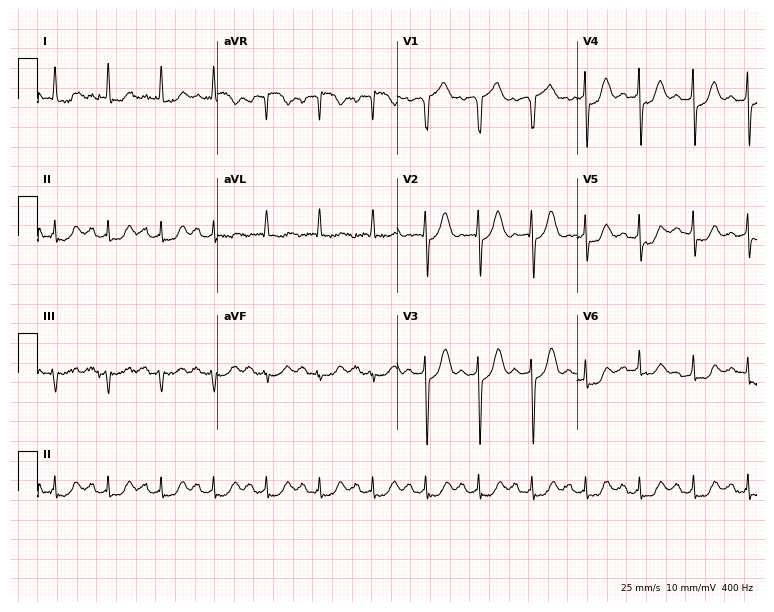
12-lead ECG (7.3-second recording at 400 Hz) from an 84-year-old man. Findings include sinus tachycardia (a sinus rate of 100 beats per minute or more).